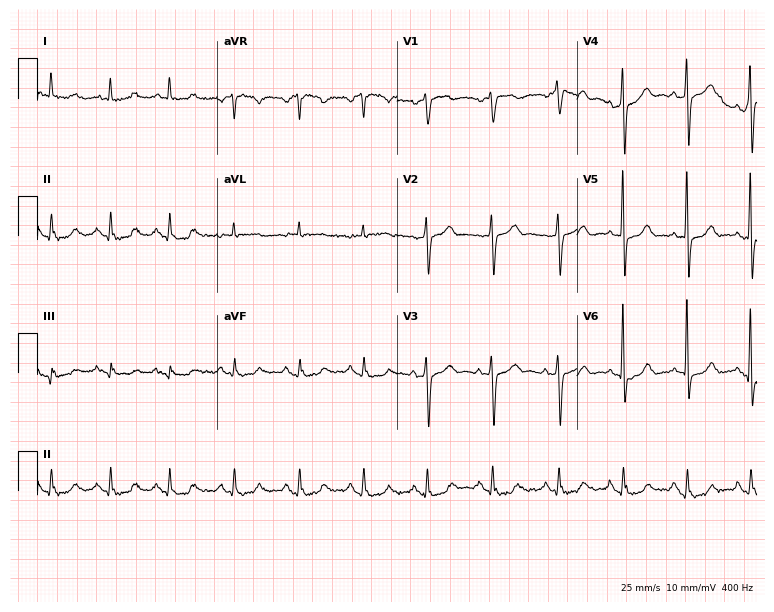
Resting 12-lead electrocardiogram. Patient: a male, 77 years old. Read as a normal ECG.